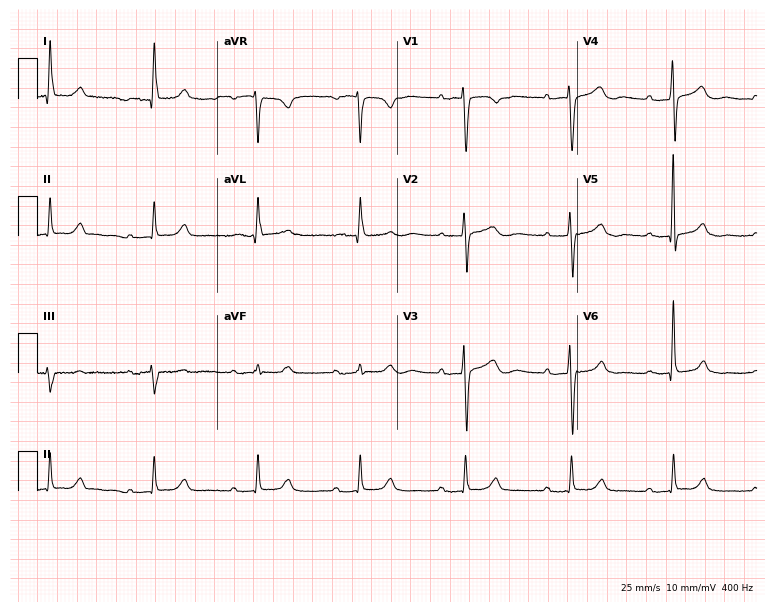
12-lead ECG from a female patient, 80 years old (7.3-second recording at 400 Hz). Shows first-degree AV block.